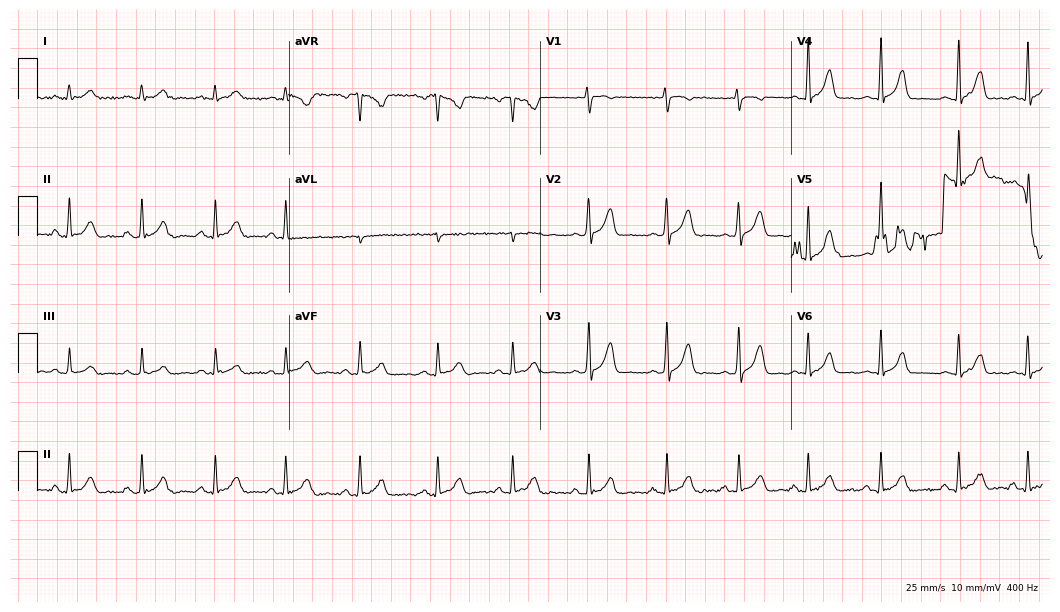
ECG — a female patient, 29 years old. Screened for six findings — first-degree AV block, right bundle branch block (RBBB), left bundle branch block (LBBB), sinus bradycardia, atrial fibrillation (AF), sinus tachycardia — none is recorded. Only these six findings were labelled.